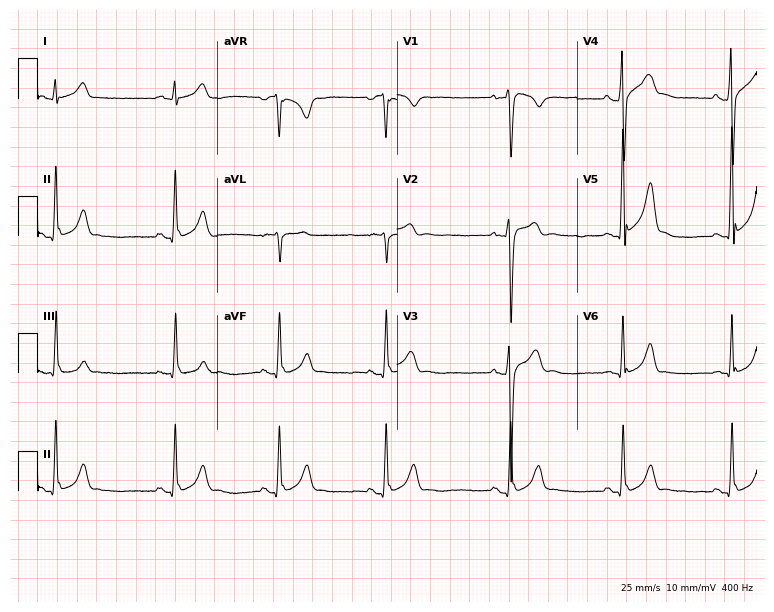
12-lead ECG from a male, 20 years old. Labelled as a normal ECG.